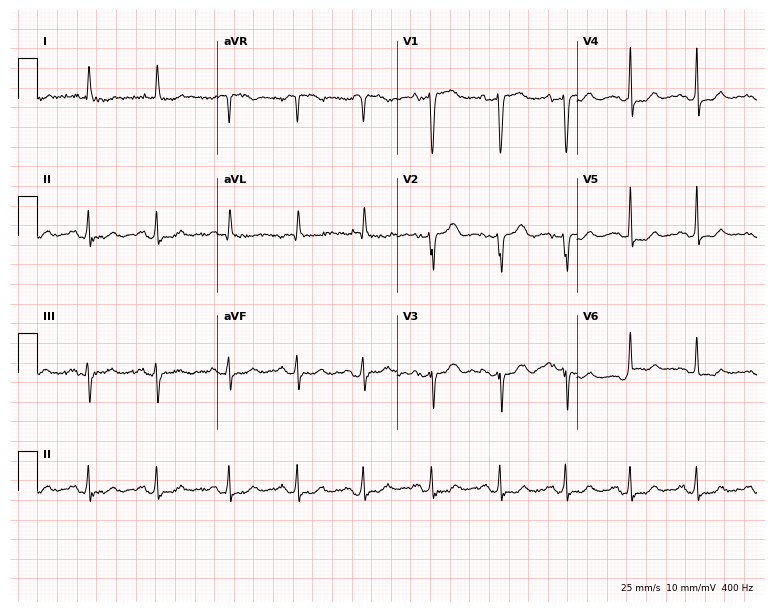
Electrocardiogram, a woman, 81 years old. Of the six screened findings (first-degree AV block, right bundle branch block, left bundle branch block, sinus bradycardia, atrial fibrillation, sinus tachycardia), none is recorded.